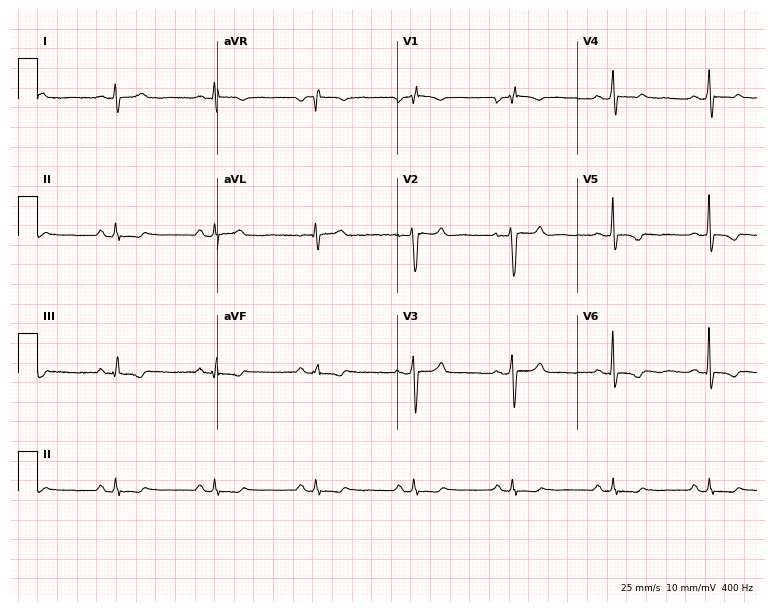
Electrocardiogram (7.3-second recording at 400 Hz), a female, 39 years old. Of the six screened findings (first-degree AV block, right bundle branch block (RBBB), left bundle branch block (LBBB), sinus bradycardia, atrial fibrillation (AF), sinus tachycardia), none is recorded.